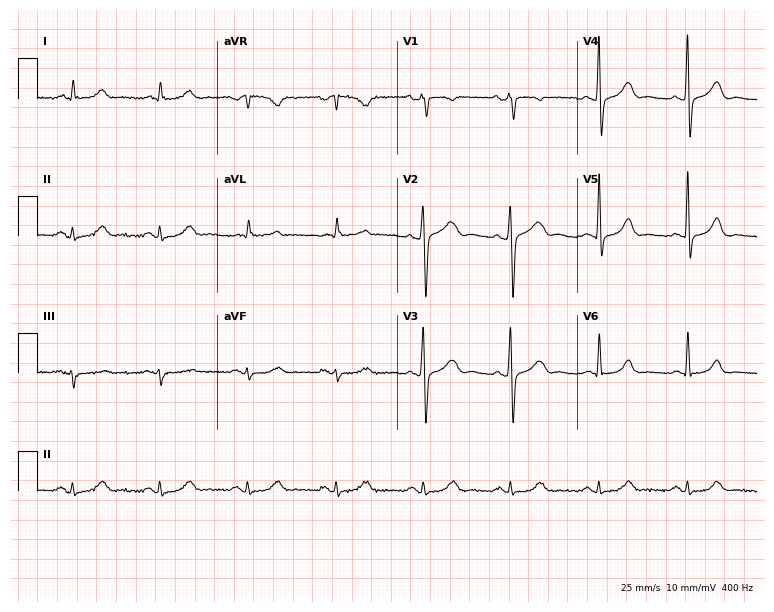
Electrocardiogram, an 80-year-old man. Overall reading on record: normal ECG.